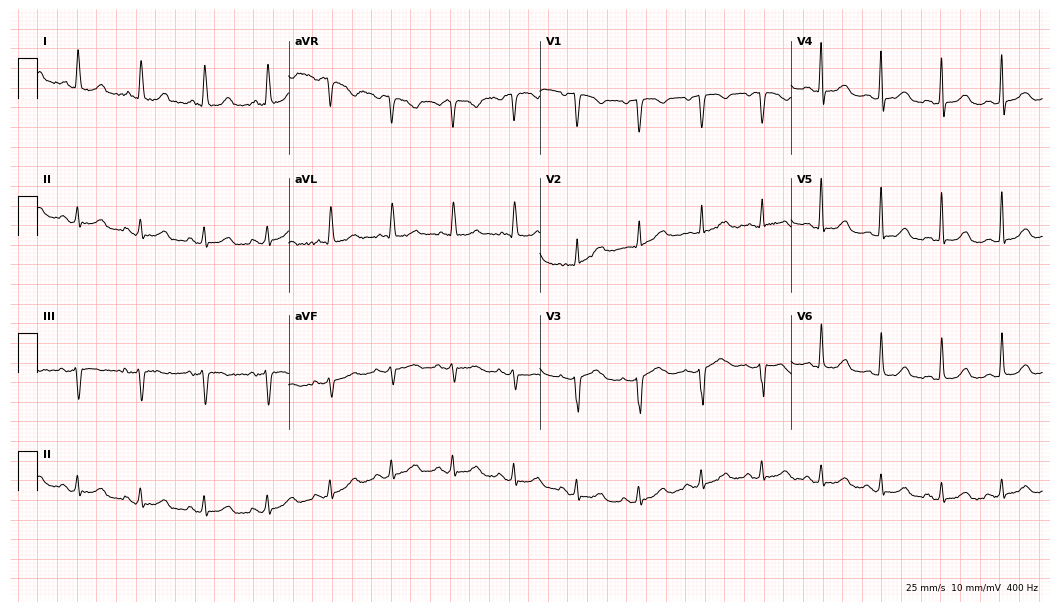
12-lead ECG from an 84-year-old female patient (10.2-second recording at 400 Hz). Recorded interpretation: within normal limits.